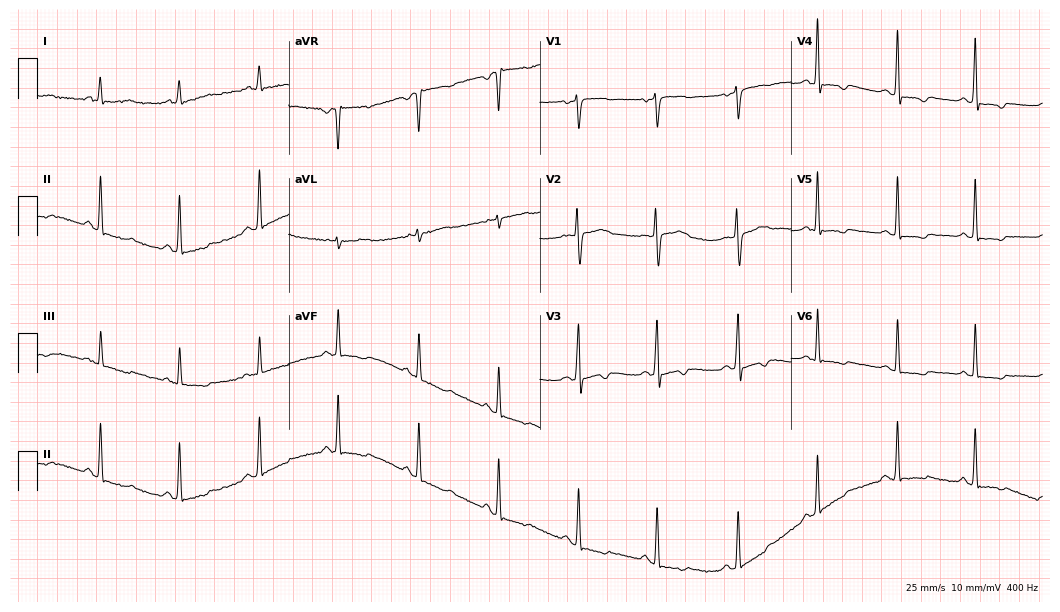
ECG (10.2-second recording at 400 Hz) — a 46-year-old female patient. Screened for six findings — first-degree AV block, right bundle branch block, left bundle branch block, sinus bradycardia, atrial fibrillation, sinus tachycardia — none is recorded.